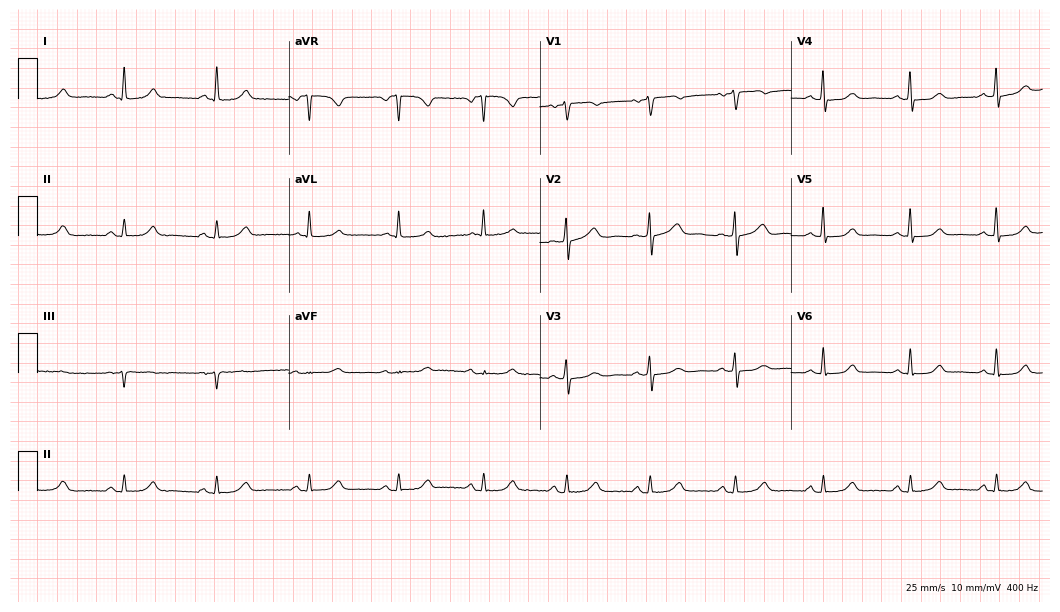
12-lead ECG from a 66-year-old woman (10.2-second recording at 400 Hz). Recorded interpretation: within normal limits.